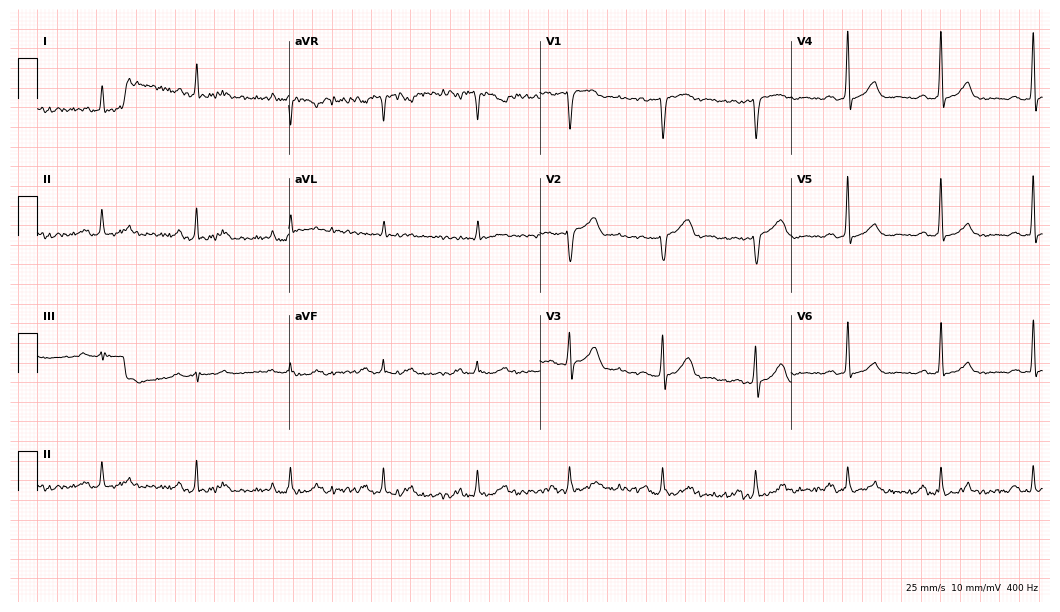
12-lead ECG from a 66-year-old man (10.2-second recording at 400 Hz). Recorded interpretation: within normal limits.